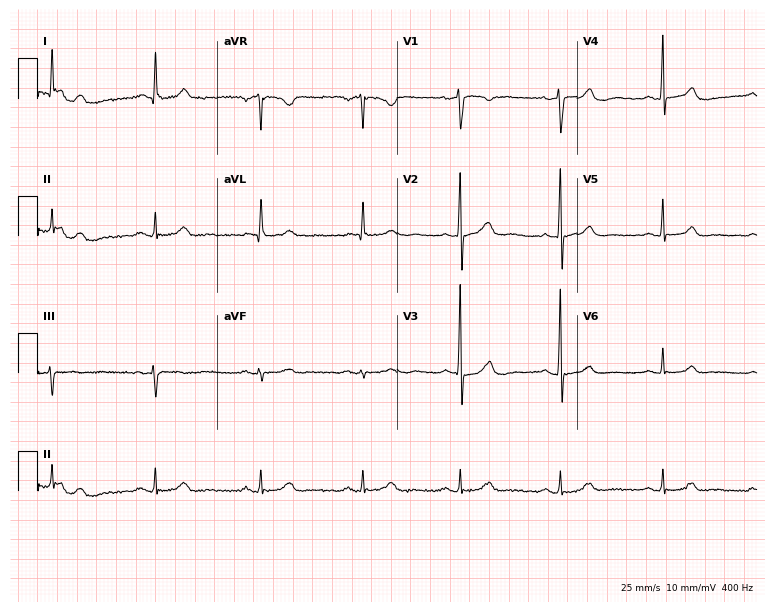
12-lead ECG from a male patient, 55 years old (7.3-second recording at 400 Hz). Recorded interpretation: within normal limits.